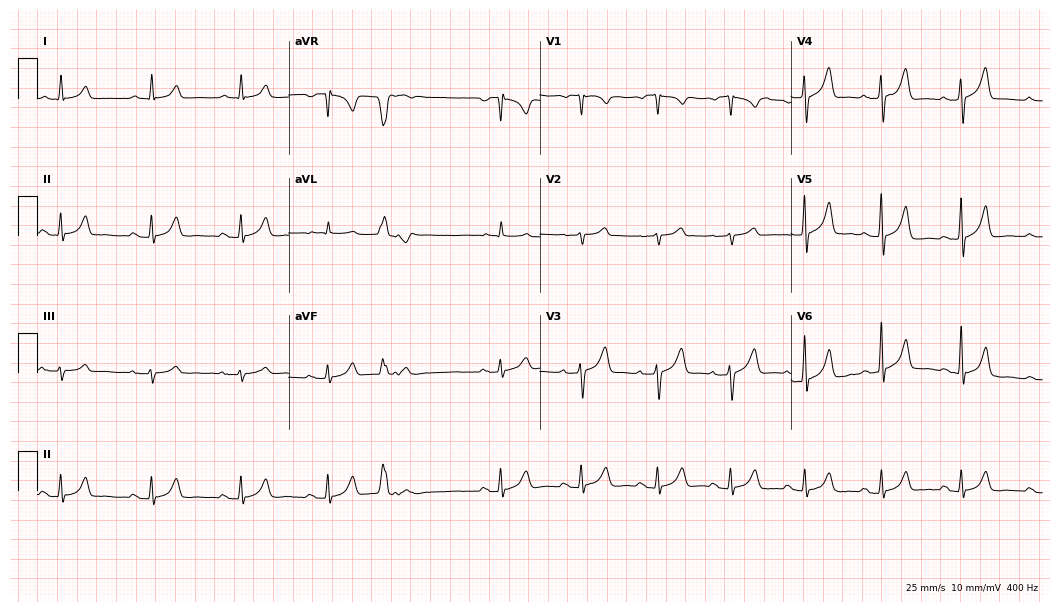
Standard 12-lead ECG recorded from a 74-year-old man (10.2-second recording at 400 Hz). None of these six findings is recorded: first-degree AV block, right bundle branch block (RBBB), left bundle branch block (LBBB), sinus bradycardia, atrial fibrillation (AF), sinus tachycardia.